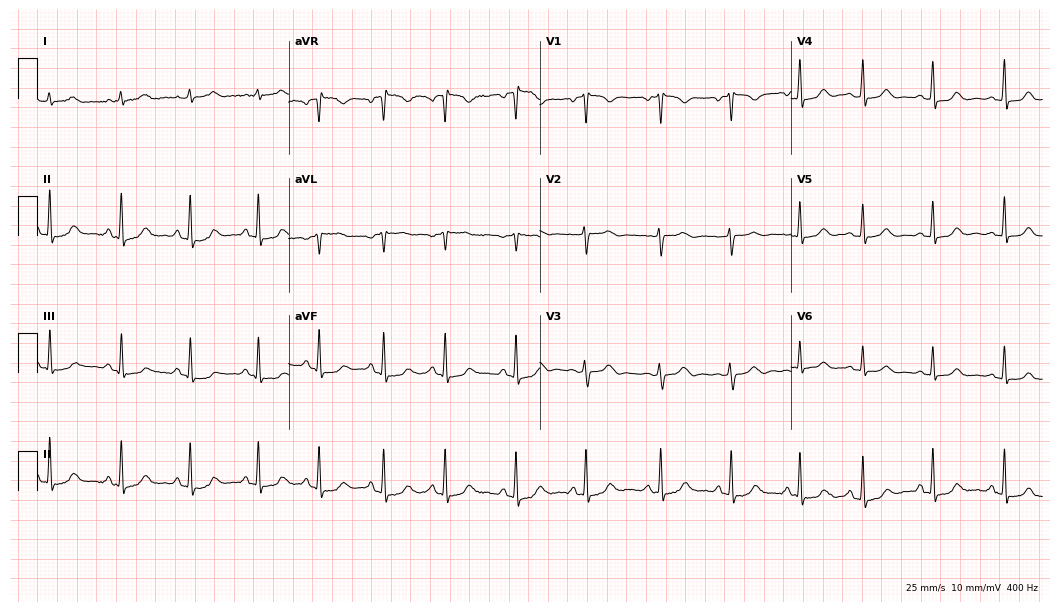
Resting 12-lead electrocardiogram (10.2-second recording at 400 Hz). Patient: a female, 38 years old. Read as a normal ECG.